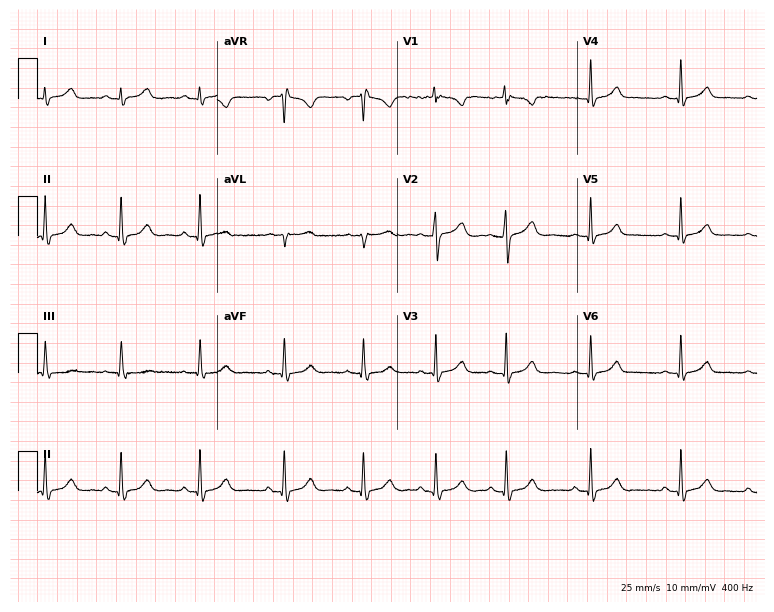
12-lead ECG (7.3-second recording at 400 Hz) from a 23-year-old male patient. Labelled as a normal ECG.